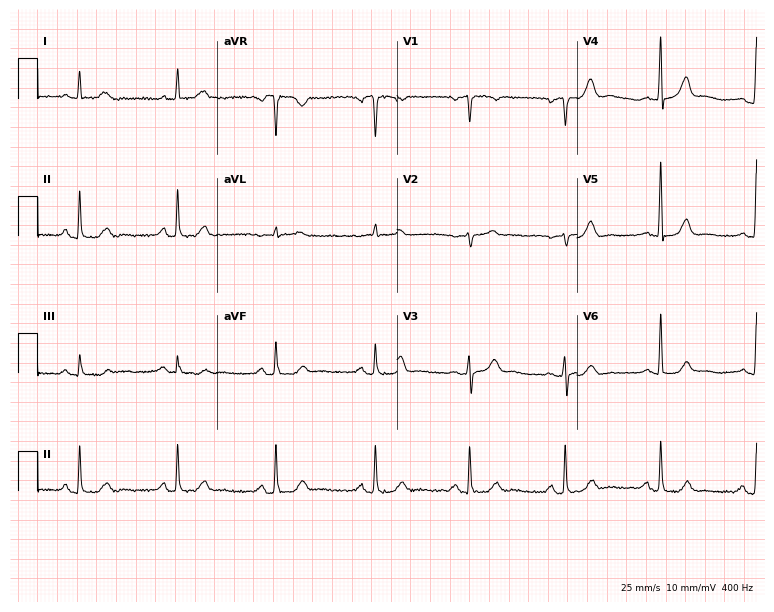
ECG (7.3-second recording at 400 Hz) — a female, 80 years old. Labelled as a normal ECG.